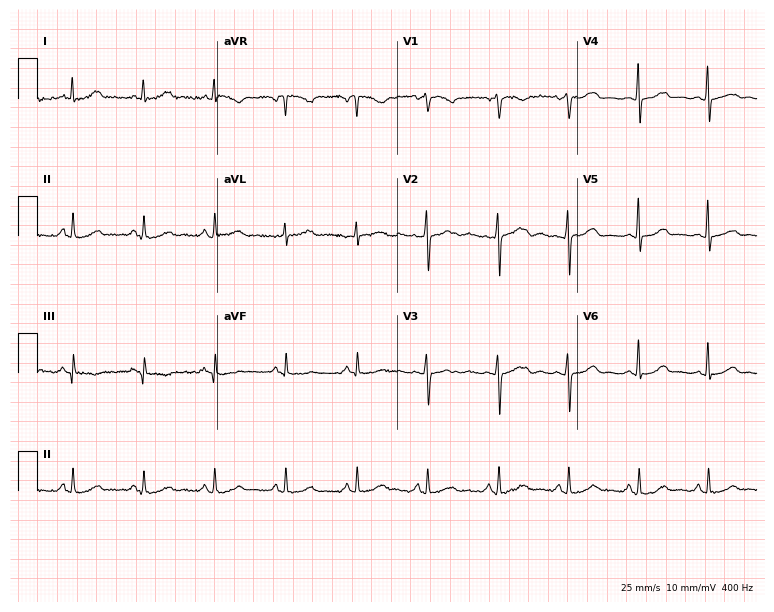
ECG — a 49-year-old woman. Labelled as a normal ECG.